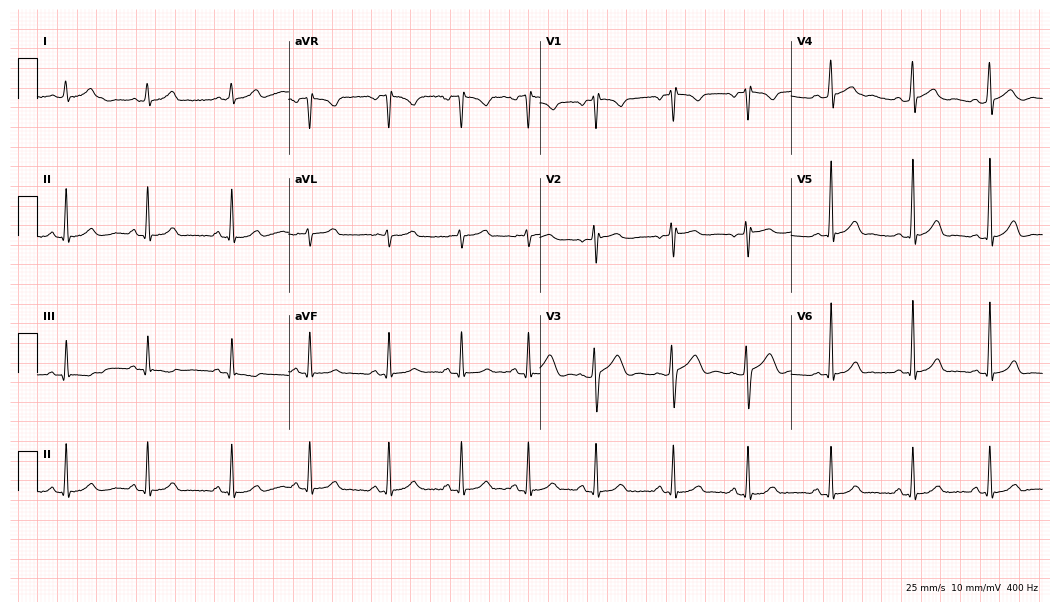
ECG — a 17-year-old female. Labelled as a normal ECG.